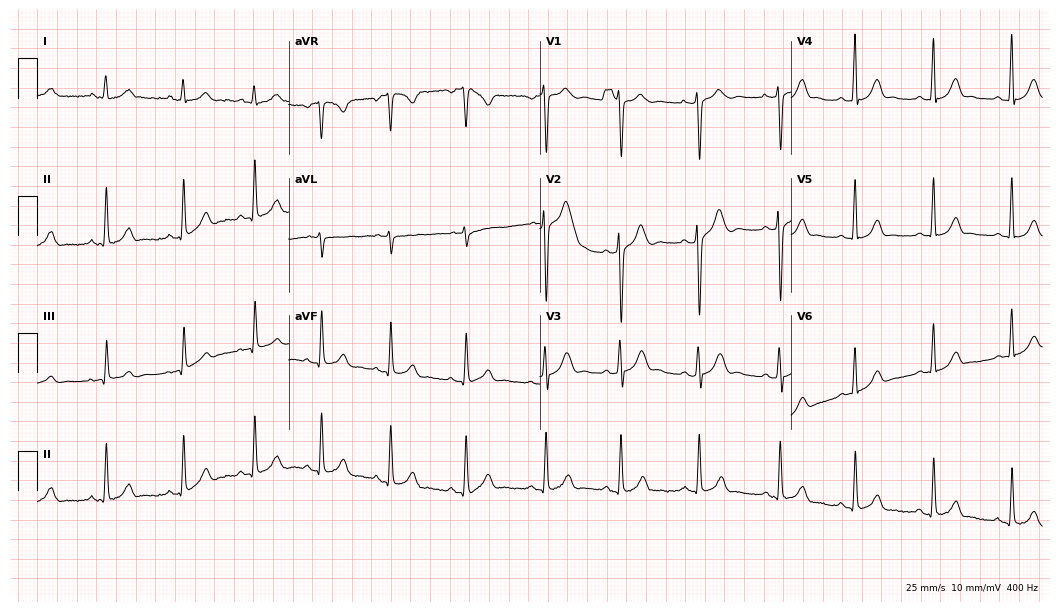
12-lead ECG from a female patient, 18 years old. No first-degree AV block, right bundle branch block, left bundle branch block, sinus bradycardia, atrial fibrillation or sinus tachycardia recorded for this tracing. Findings outside these six are not listed.